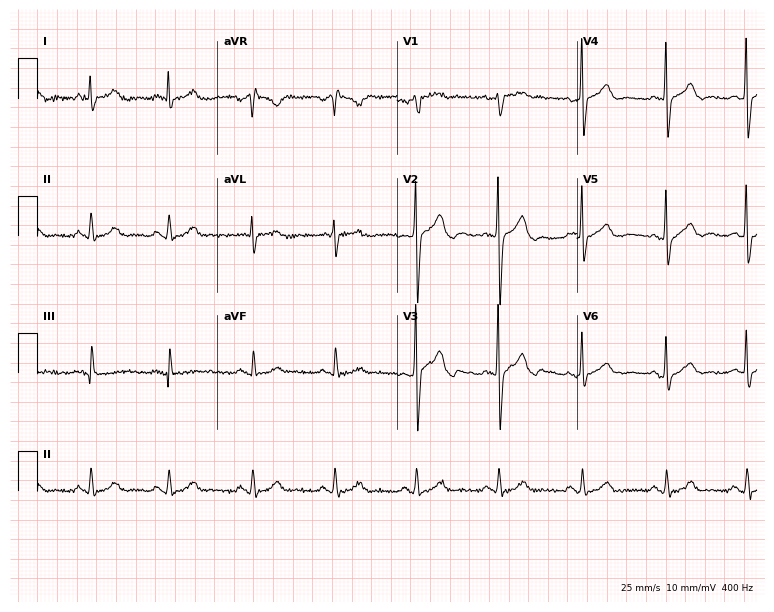
ECG (7.3-second recording at 400 Hz) — a 59-year-old male. Labelled as a normal ECG.